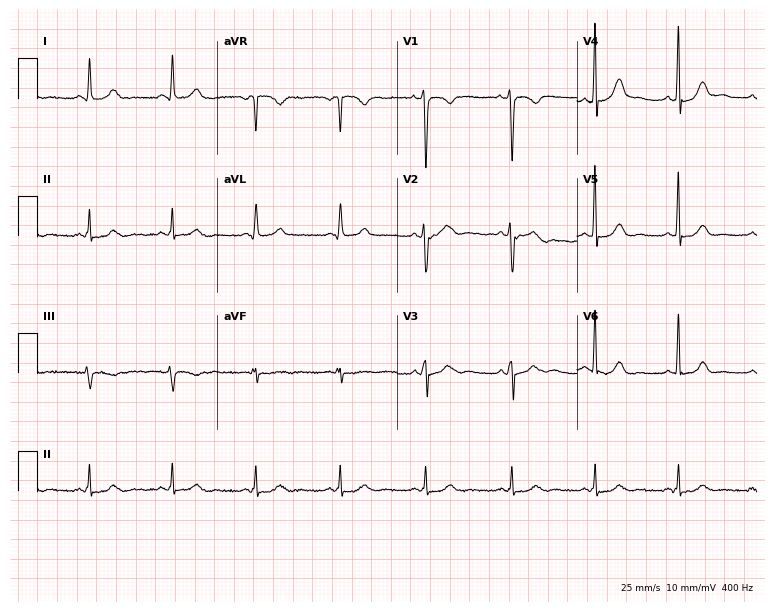
Electrocardiogram, a 41-year-old female patient. Overall reading on record: normal ECG.